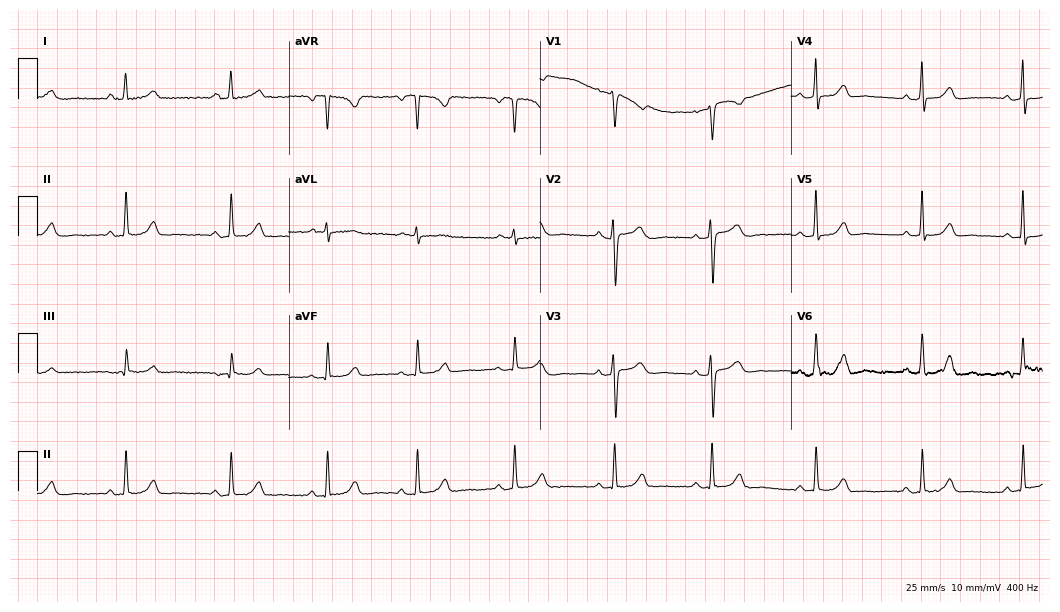
12-lead ECG from a female patient, 50 years old (10.2-second recording at 400 Hz). No first-degree AV block, right bundle branch block (RBBB), left bundle branch block (LBBB), sinus bradycardia, atrial fibrillation (AF) or sinus tachycardia recorded for this tracing.